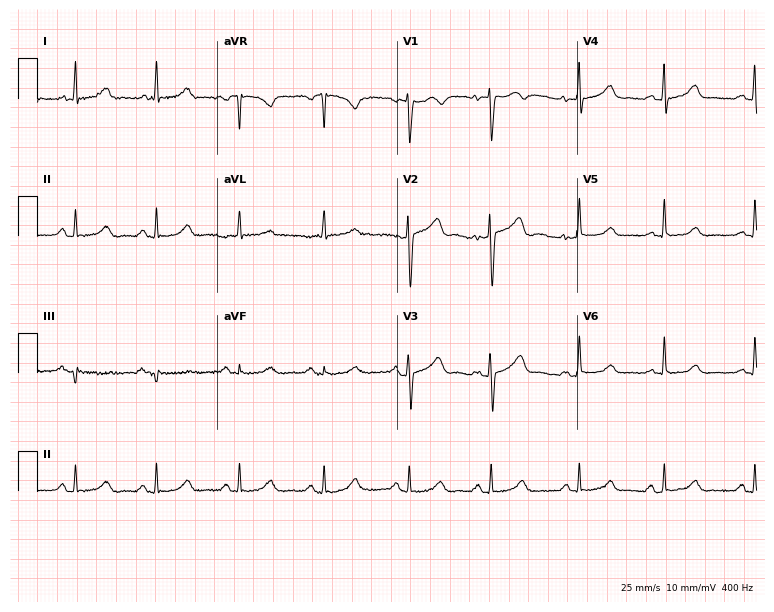
Standard 12-lead ECG recorded from a 38-year-old woman. Read as a normal ECG.